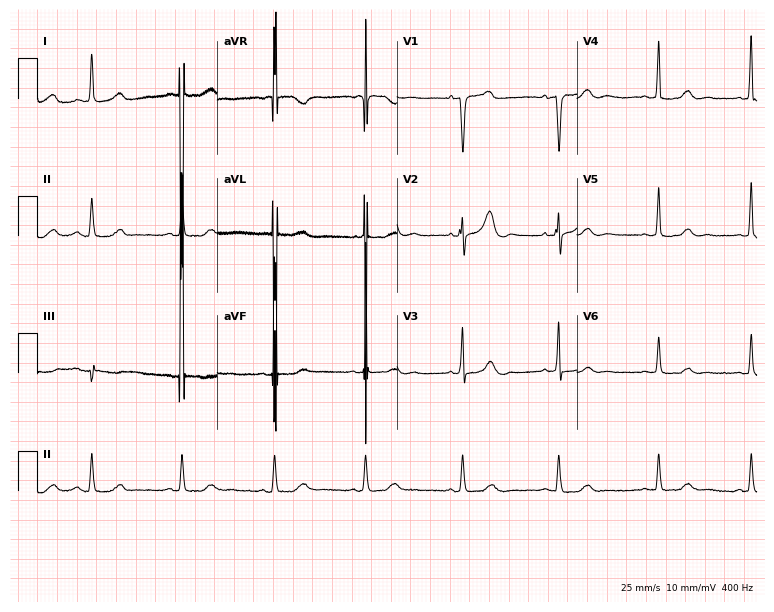
Electrocardiogram (7.3-second recording at 400 Hz), a woman, 82 years old. Overall reading on record: normal ECG.